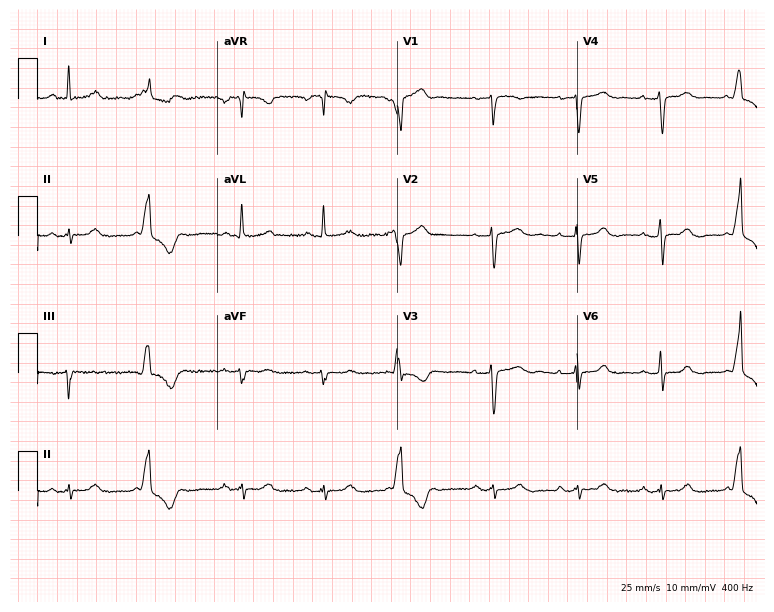
ECG — a woman, 65 years old. Screened for six findings — first-degree AV block, right bundle branch block (RBBB), left bundle branch block (LBBB), sinus bradycardia, atrial fibrillation (AF), sinus tachycardia — none is recorded.